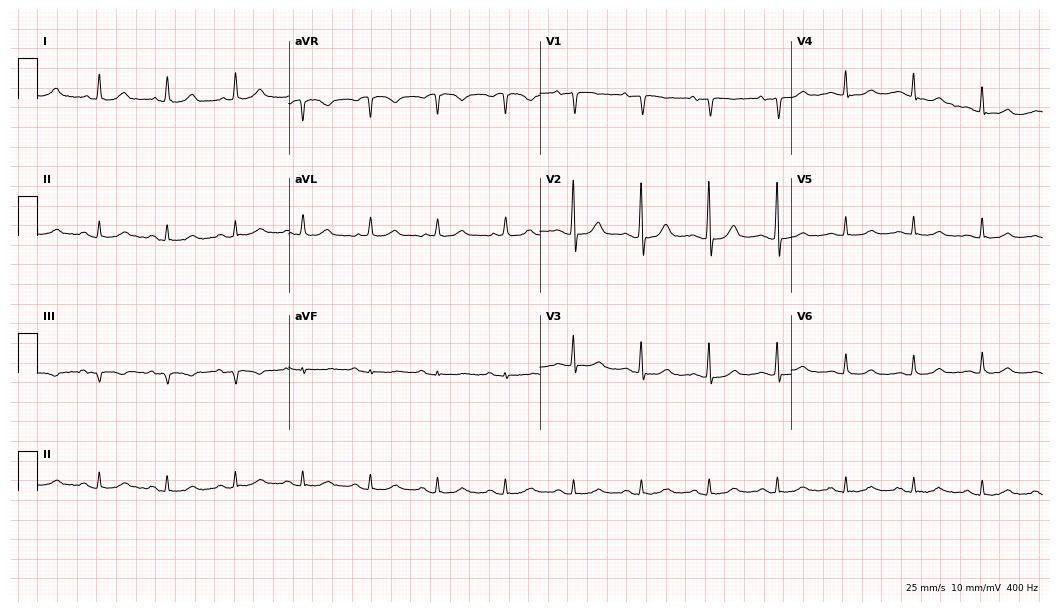
12-lead ECG from a female, 82 years old (10.2-second recording at 400 Hz). Recorded interpretation: within normal limits.